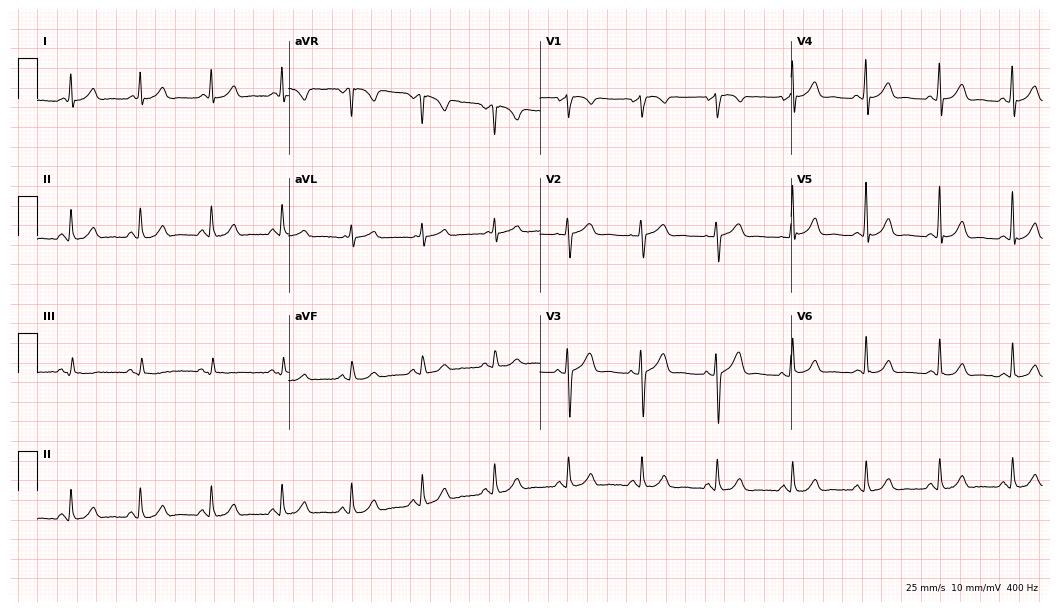
Standard 12-lead ECG recorded from a 59-year-old male. None of these six findings is recorded: first-degree AV block, right bundle branch block, left bundle branch block, sinus bradycardia, atrial fibrillation, sinus tachycardia. Only these six findings were labelled.